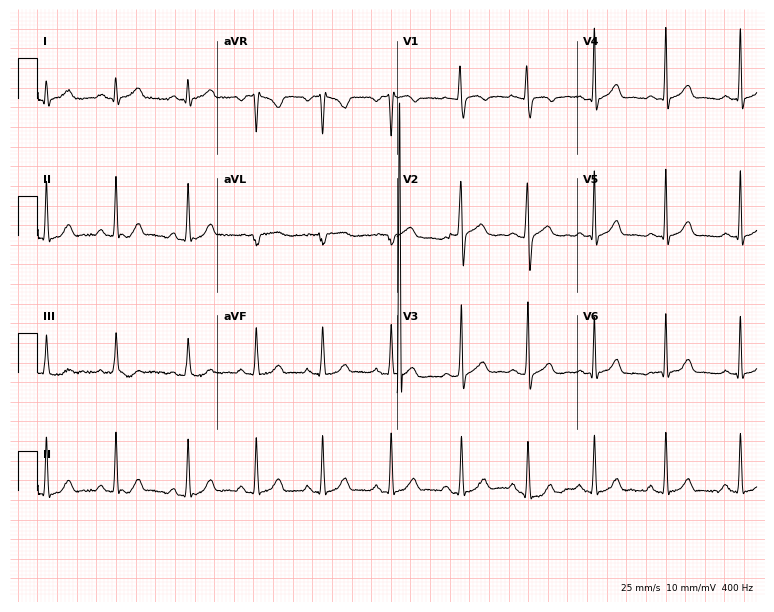
Electrocardiogram, a 17-year-old woman. Overall reading on record: normal ECG.